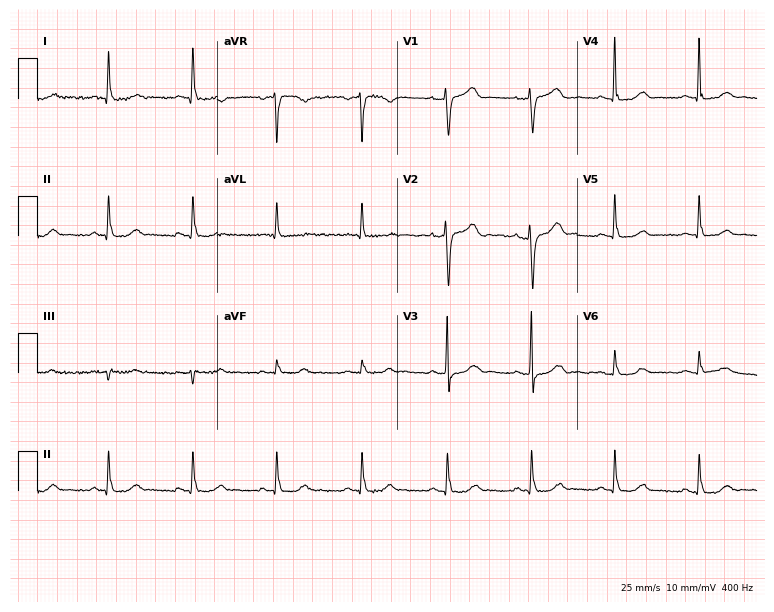
12-lead ECG (7.3-second recording at 400 Hz) from a 64-year-old female patient. Labelled as a normal ECG.